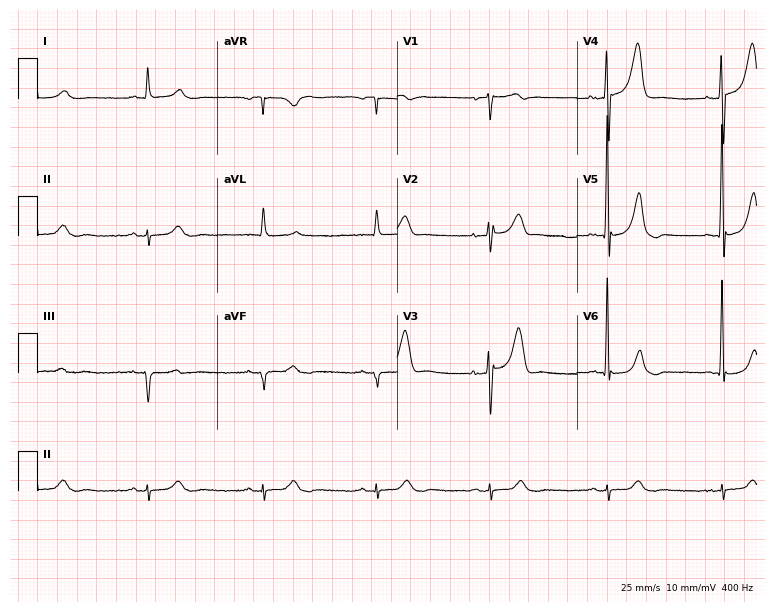
Standard 12-lead ECG recorded from a man, 80 years old (7.3-second recording at 400 Hz). None of these six findings is recorded: first-degree AV block, right bundle branch block (RBBB), left bundle branch block (LBBB), sinus bradycardia, atrial fibrillation (AF), sinus tachycardia.